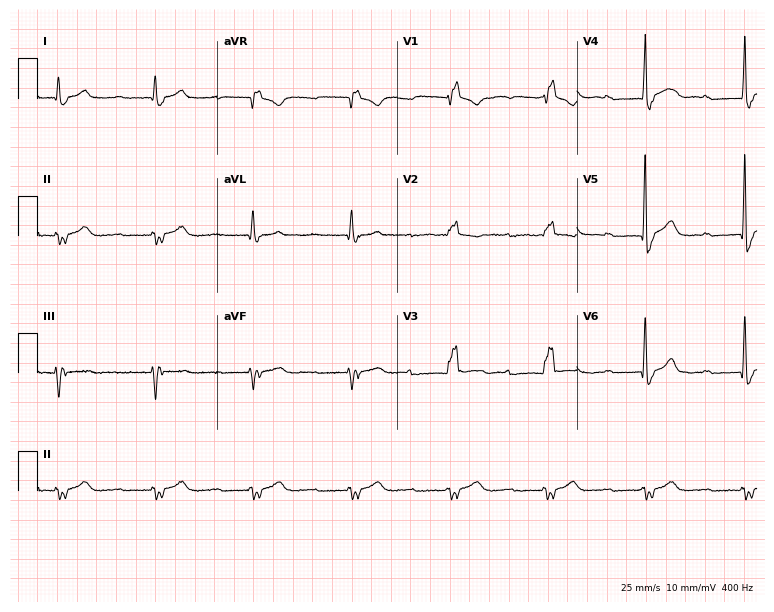
Electrocardiogram (7.3-second recording at 400 Hz), a 57-year-old man. Interpretation includes right bundle branch block.